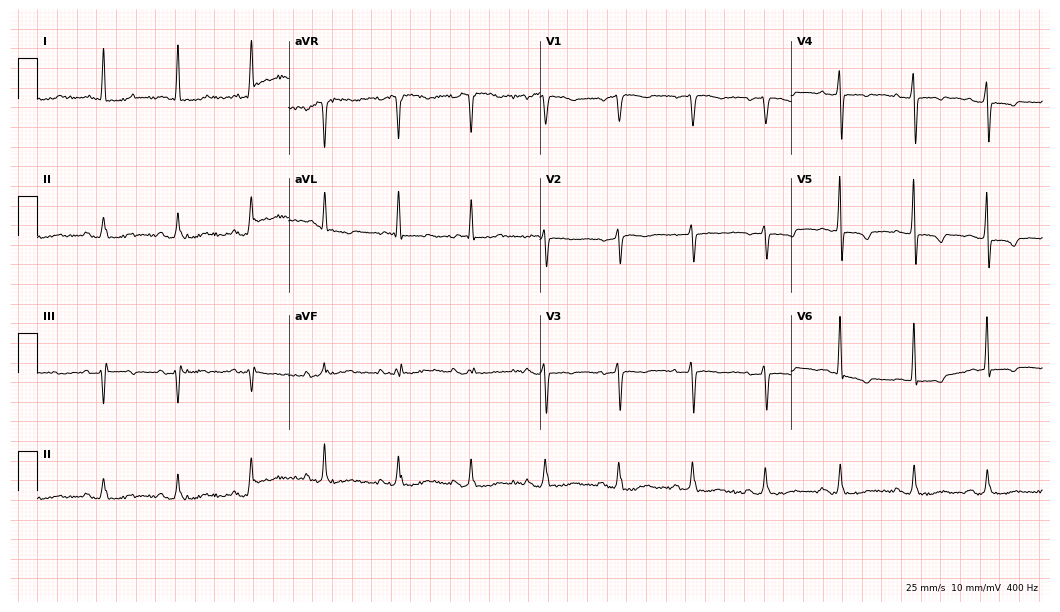
12-lead ECG from a female, 78 years old. Screened for six findings — first-degree AV block, right bundle branch block, left bundle branch block, sinus bradycardia, atrial fibrillation, sinus tachycardia — none is recorded. Other findings, if any, are not listed.